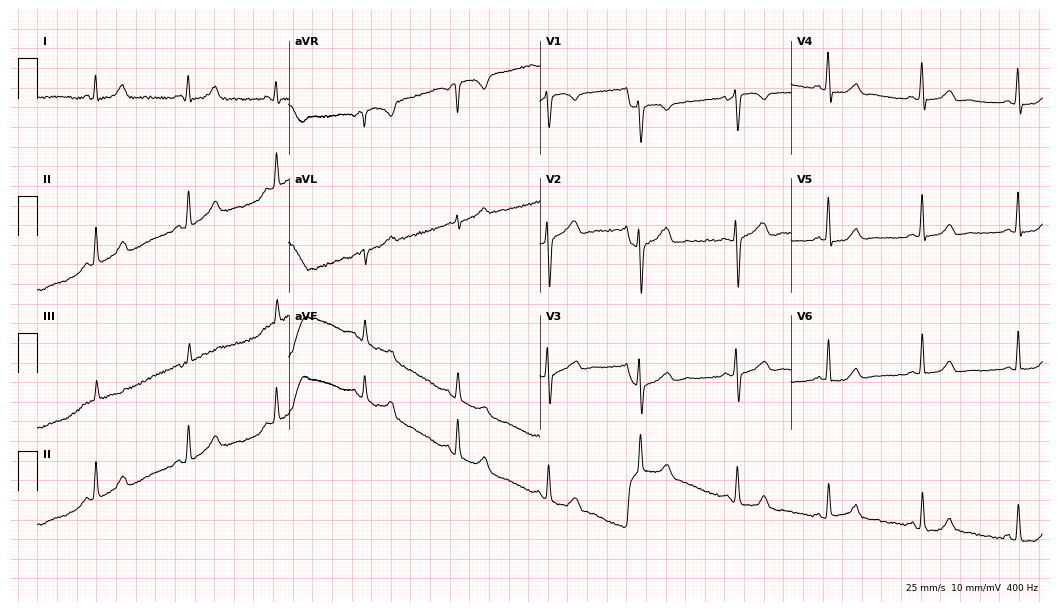
12-lead ECG from a female, 34 years old (10.2-second recording at 400 Hz). No first-degree AV block, right bundle branch block, left bundle branch block, sinus bradycardia, atrial fibrillation or sinus tachycardia recorded for this tracing. Other findings, if any, are not listed.